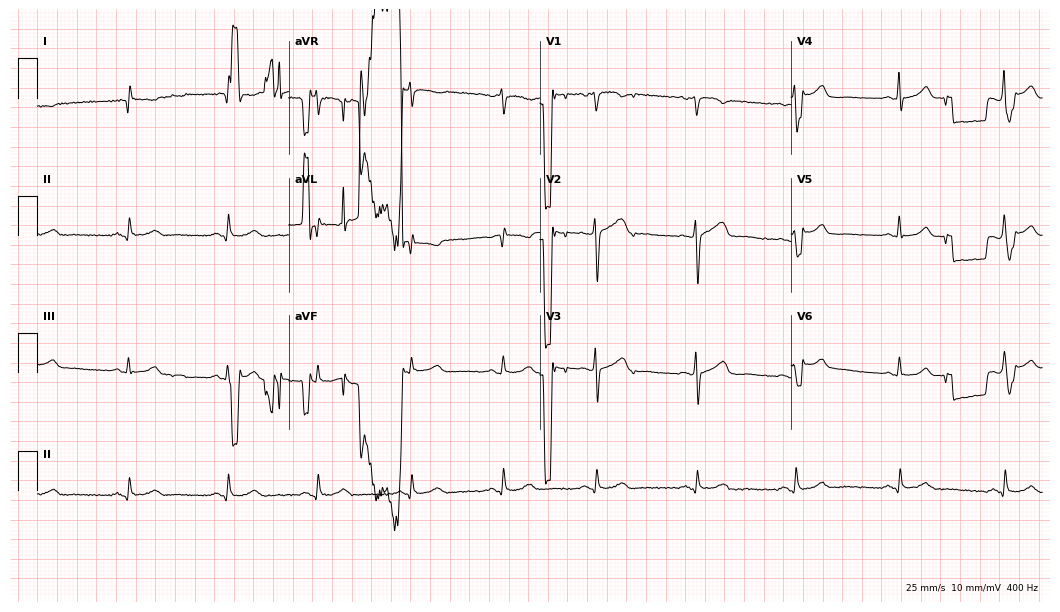
Standard 12-lead ECG recorded from a 49-year-old female patient. None of these six findings is recorded: first-degree AV block, right bundle branch block (RBBB), left bundle branch block (LBBB), sinus bradycardia, atrial fibrillation (AF), sinus tachycardia.